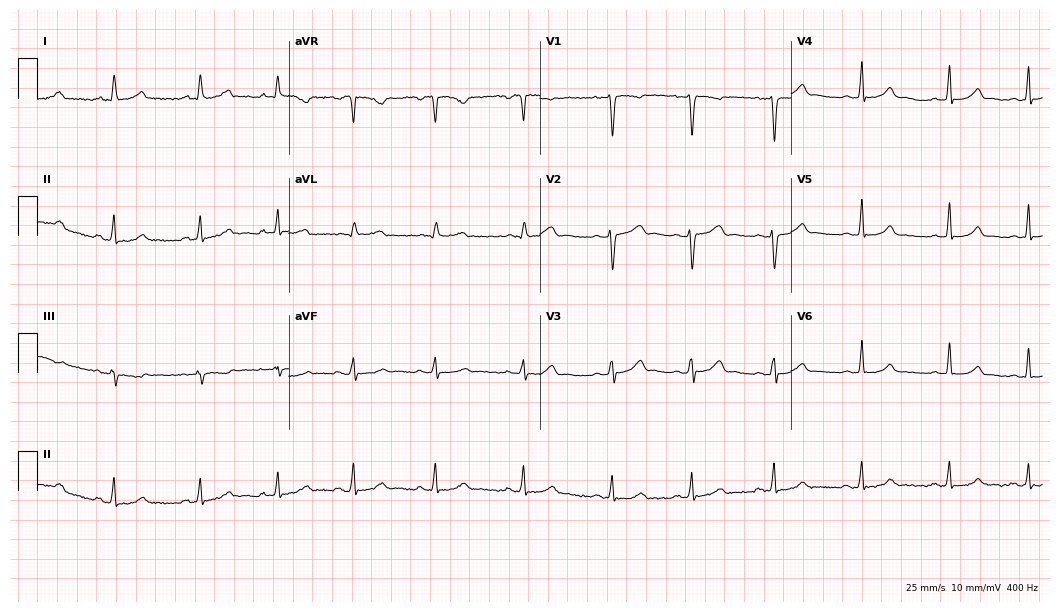
Resting 12-lead electrocardiogram (10.2-second recording at 400 Hz). Patient: a 26-year-old woman. Read as a normal ECG.